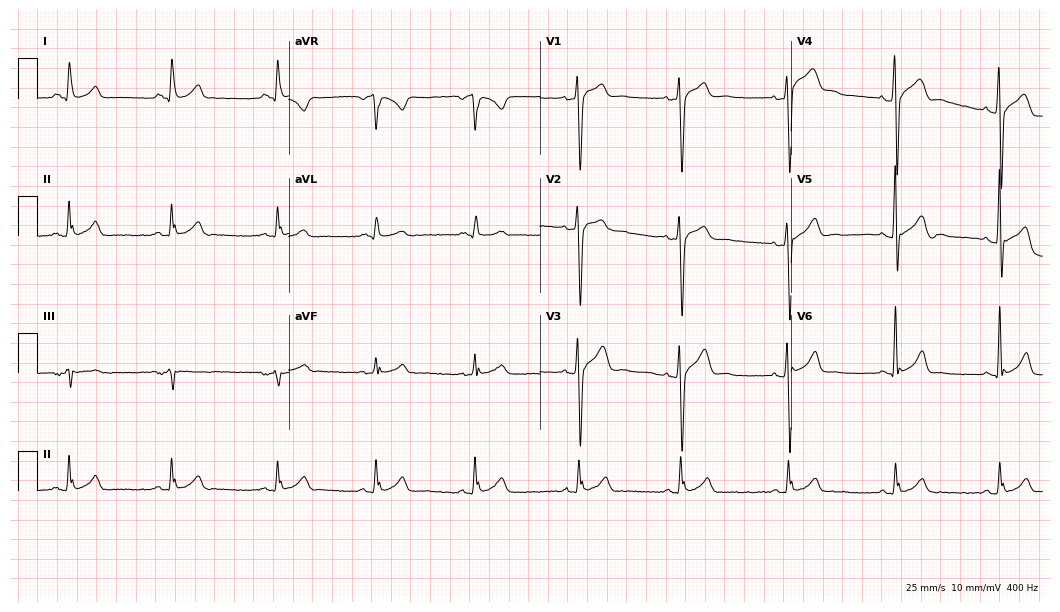
Resting 12-lead electrocardiogram. Patient: a male, 28 years old. None of these six findings is recorded: first-degree AV block, right bundle branch block, left bundle branch block, sinus bradycardia, atrial fibrillation, sinus tachycardia. Findings outside these six are not listed.